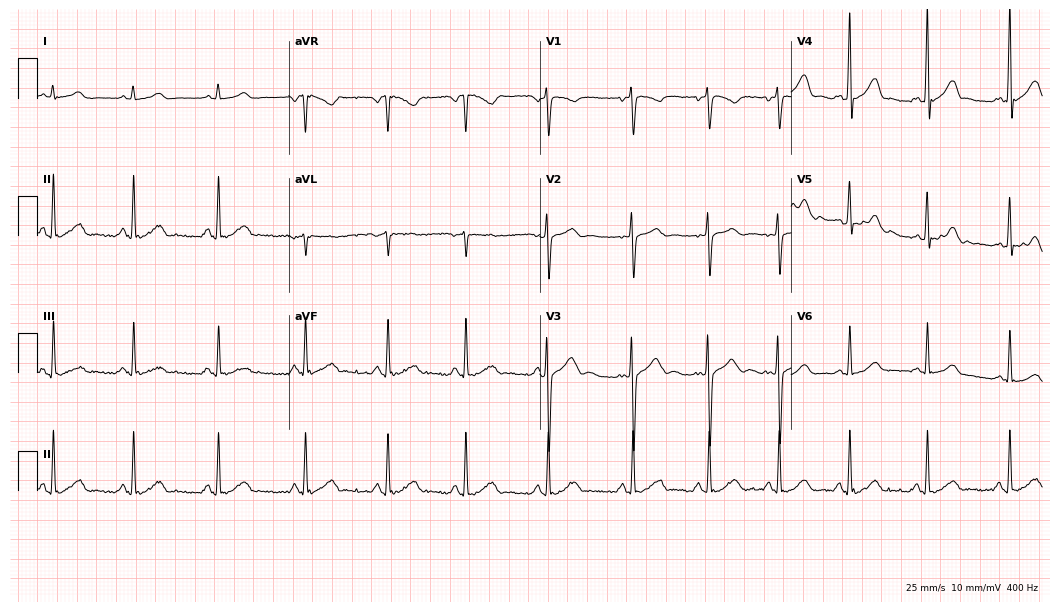
ECG (10.2-second recording at 400 Hz) — a male, 17 years old. Labelled as a normal ECG.